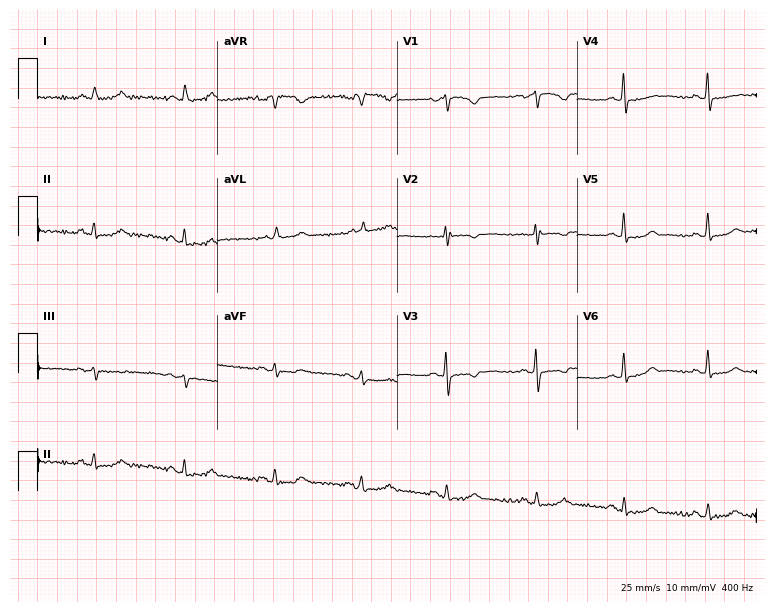
12-lead ECG from a 27-year-old woman. Screened for six findings — first-degree AV block, right bundle branch block, left bundle branch block, sinus bradycardia, atrial fibrillation, sinus tachycardia — none is recorded. Findings outside these six are not listed.